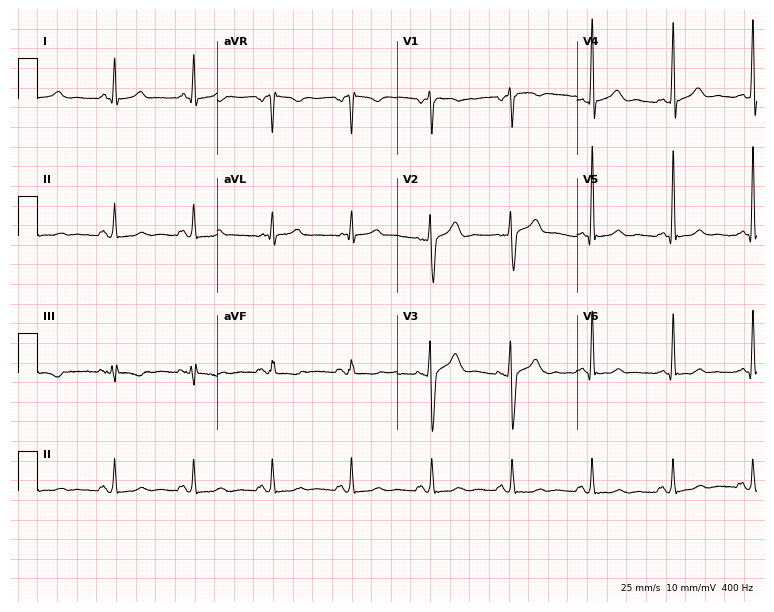
Electrocardiogram, a man, 51 years old. Of the six screened findings (first-degree AV block, right bundle branch block, left bundle branch block, sinus bradycardia, atrial fibrillation, sinus tachycardia), none is recorded.